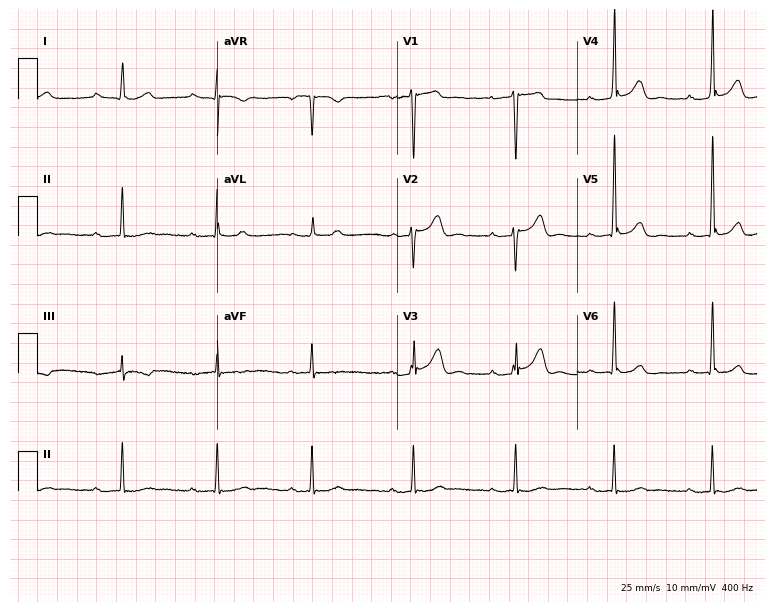
Resting 12-lead electrocardiogram (7.3-second recording at 400 Hz). Patient: a 44-year-old male. Read as a normal ECG.